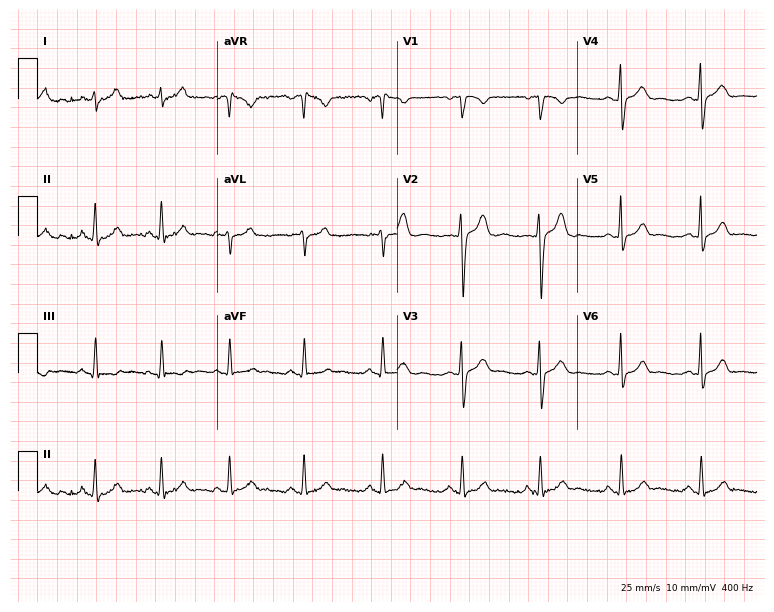
12-lead ECG from a 24-year-old woman. Labelled as a normal ECG.